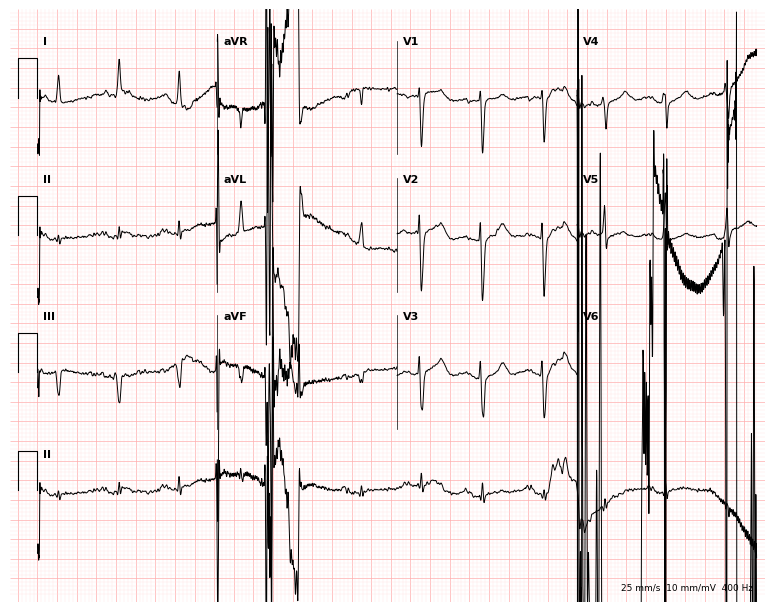
ECG — an 85-year-old woman. Screened for six findings — first-degree AV block, right bundle branch block (RBBB), left bundle branch block (LBBB), sinus bradycardia, atrial fibrillation (AF), sinus tachycardia — none is recorded.